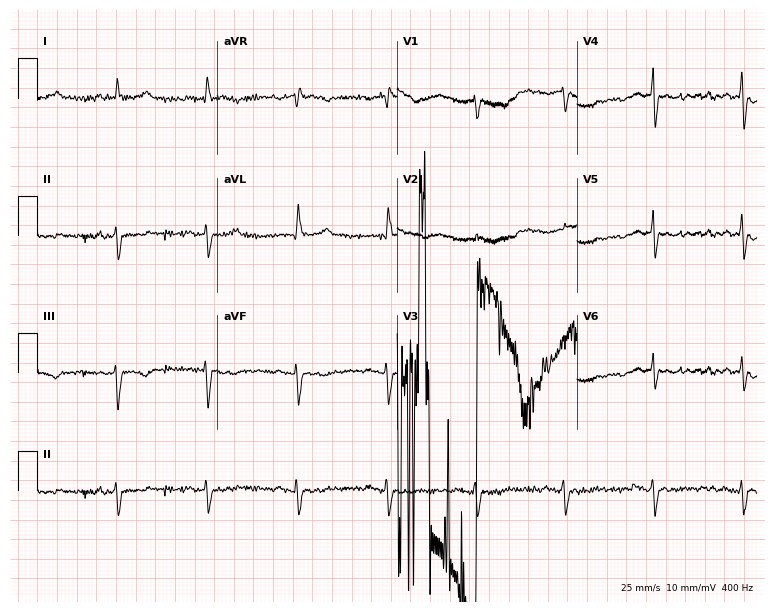
Electrocardiogram, a woman, 70 years old. Of the six screened findings (first-degree AV block, right bundle branch block, left bundle branch block, sinus bradycardia, atrial fibrillation, sinus tachycardia), none is recorded.